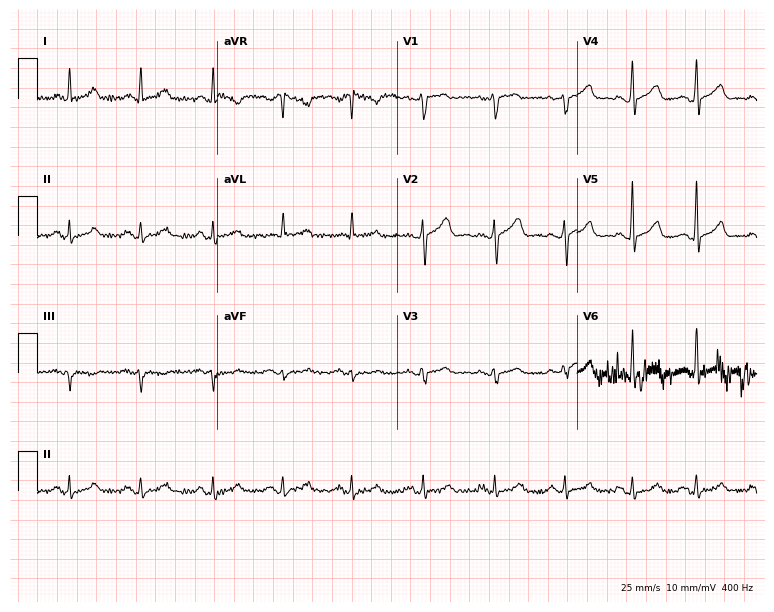
12-lead ECG (7.3-second recording at 400 Hz) from a 46-year-old woman. Screened for six findings — first-degree AV block, right bundle branch block, left bundle branch block, sinus bradycardia, atrial fibrillation, sinus tachycardia — none is recorded. Findings outside these six are not listed.